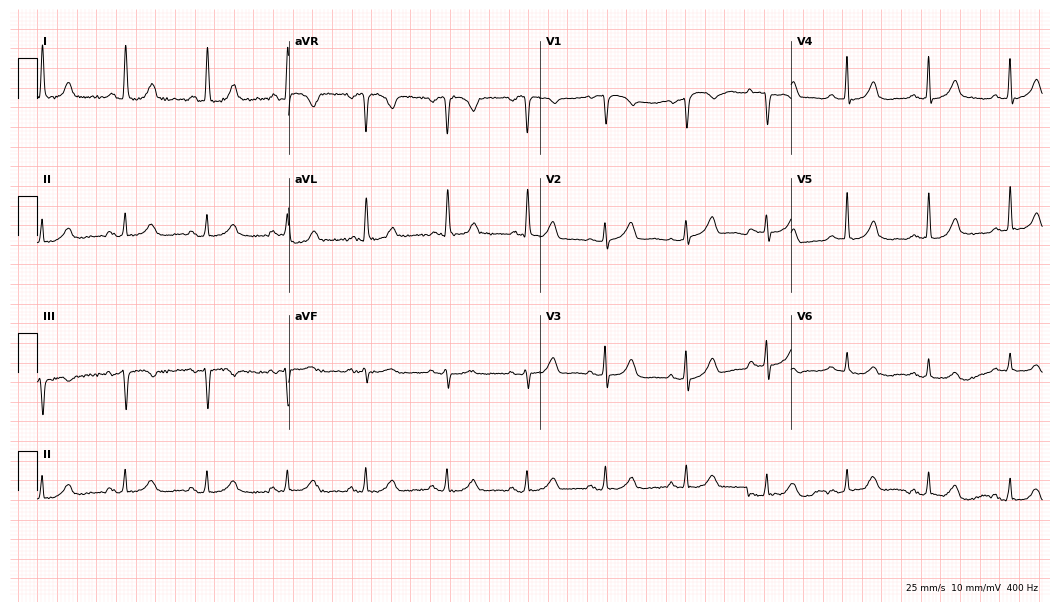
Standard 12-lead ECG recorded from a woman, 59 years old (10.2-second recording at 400 Hz). Read as a normal ECG.